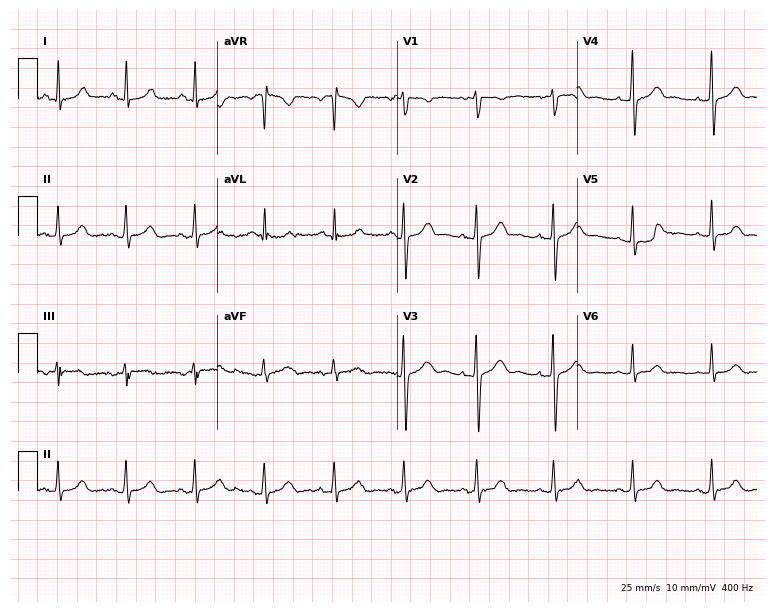
12-lead ECG from a 26-year-old woman. Screened for six findings — first-degree AV block, right bundle branch block, left bundle branch block, sinus bradycardia, atrial fibrillation, sinus tachycardia — none is recorded. Only these six findings were labelled.